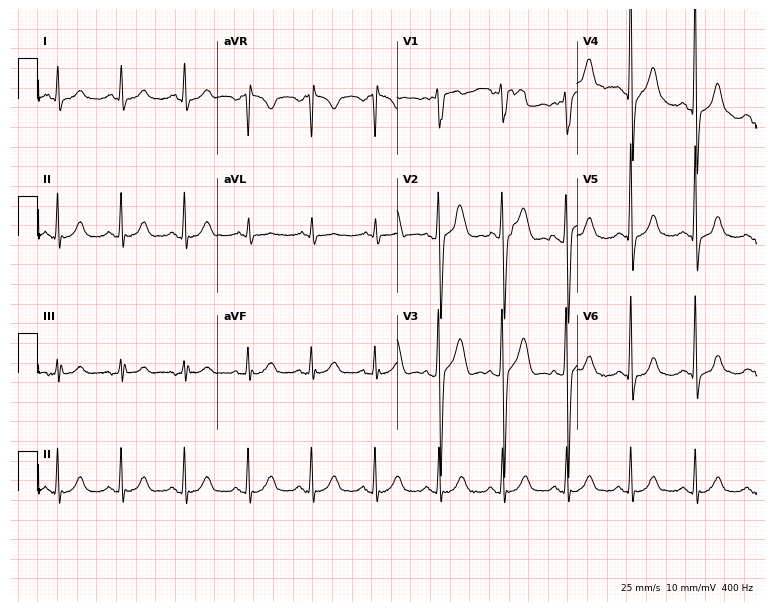
12-lead ECG from a man, 54 years old. Recorded interpretation: within normal limits.